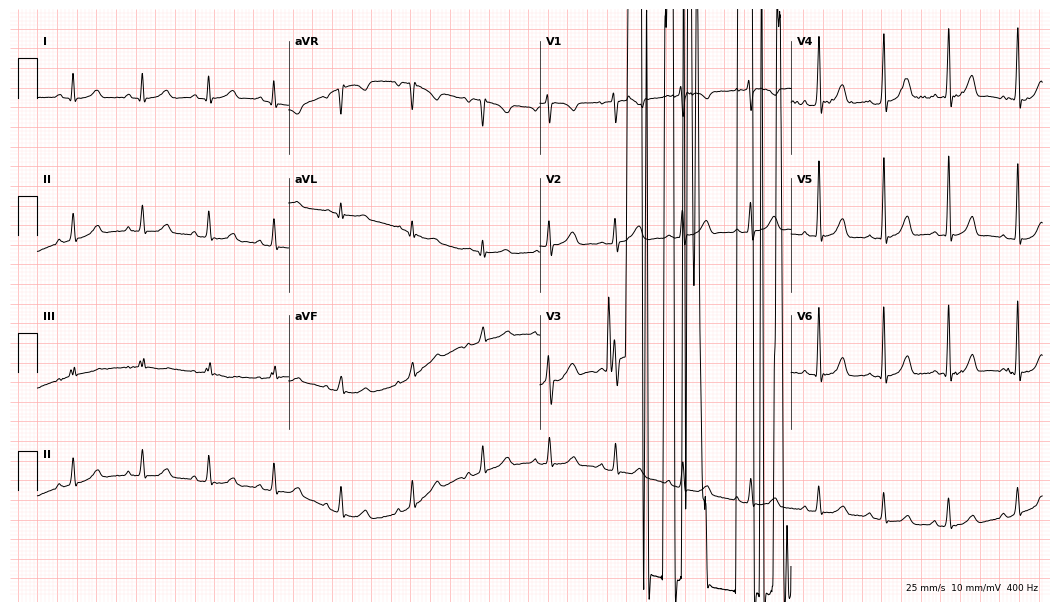
12-lead ECG from a female, 22 years old. Screened for six findings — first-degree AV block, right bundle branch block (RBBB), left bundle branch block (LBBB), sinus bradycardia, atrial fibrillation (AF), sinus tachycardia — none is recorded.